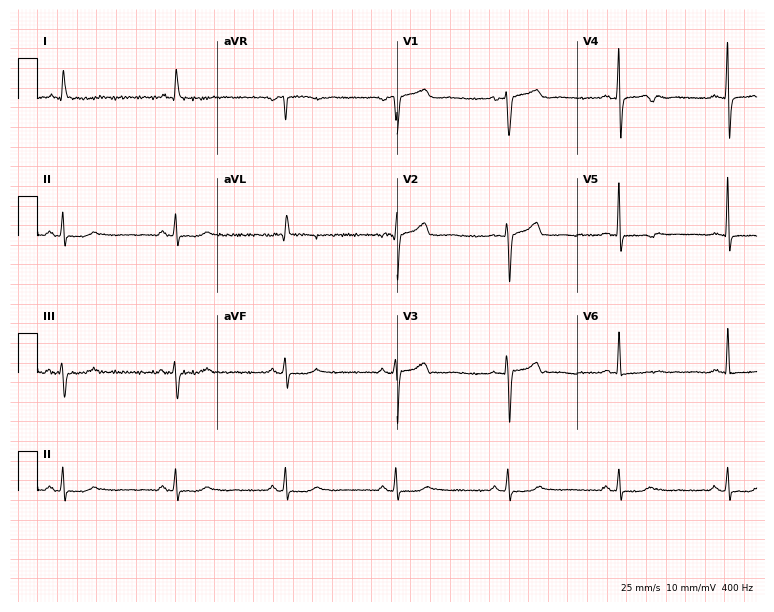
12-lead ECG from a 63-year-old female. No first-degree AV block, right bundle branch block, left bundle branch block, sinus bradycardia, atrial fibrillation or sinus tachycardia recorded for this tracing.